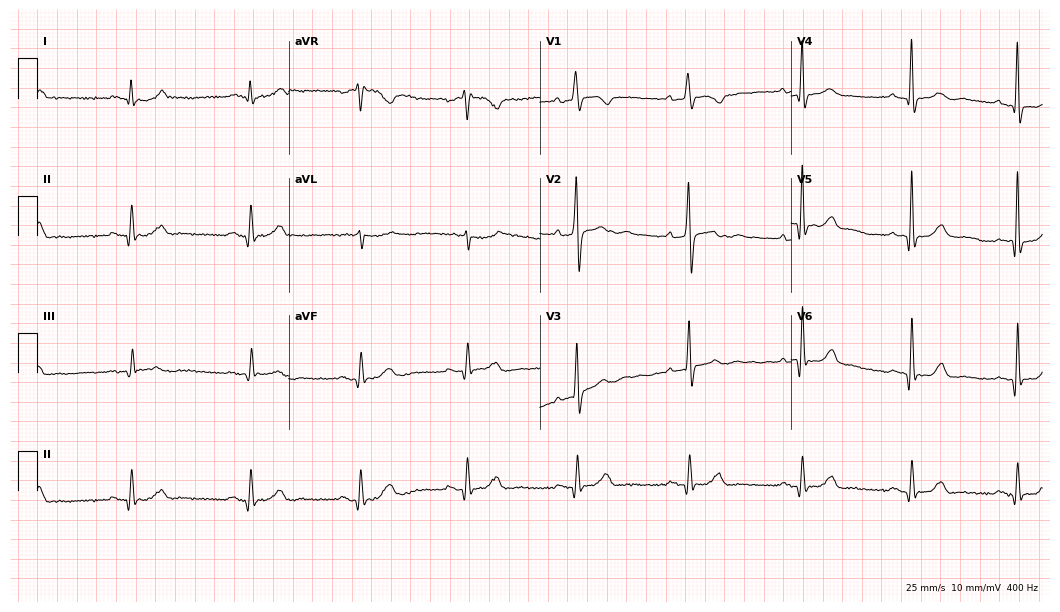
12-lead ECG from a male, 50 years old. Screened for six findings — first-degree AV block, right bundle branch block, left bundle branch block, sinus bradycardia, atrial fibrillation, sinus tachycardia — none is recorded. Only these six findings were labelled.